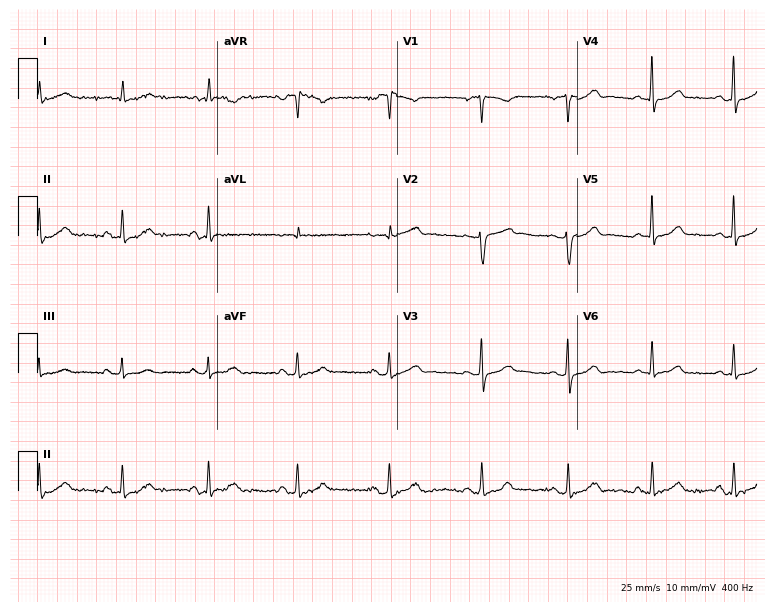
12-lead ECG from a woman, 31 years old. Labelled as a normal ECG.